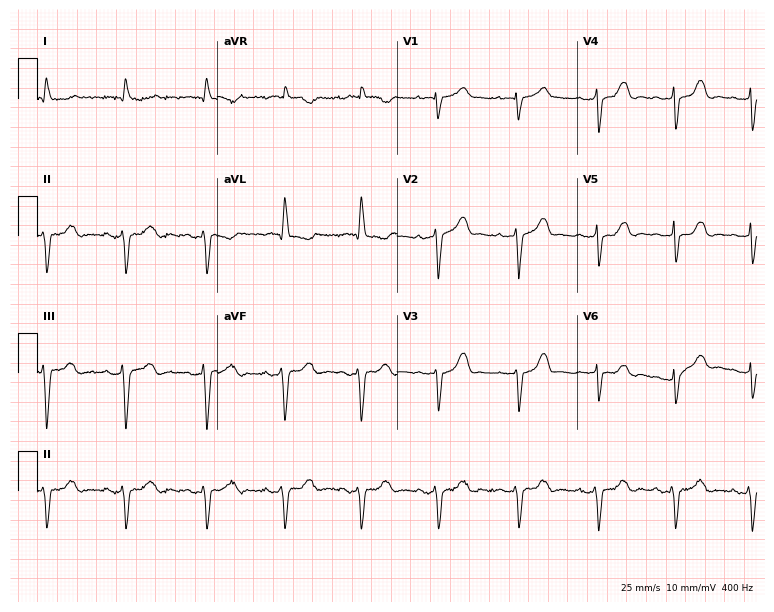
ECG (7.3-second recording at 400 Hz) — an 82-year-old female patient. Screened for six findings — first-degree AV block, right bundle branch block, left bundle branch block, sinus bradycardia, atrial fibrillation, sinus tachycardia — none is recorded. Only these six findings were labelled.